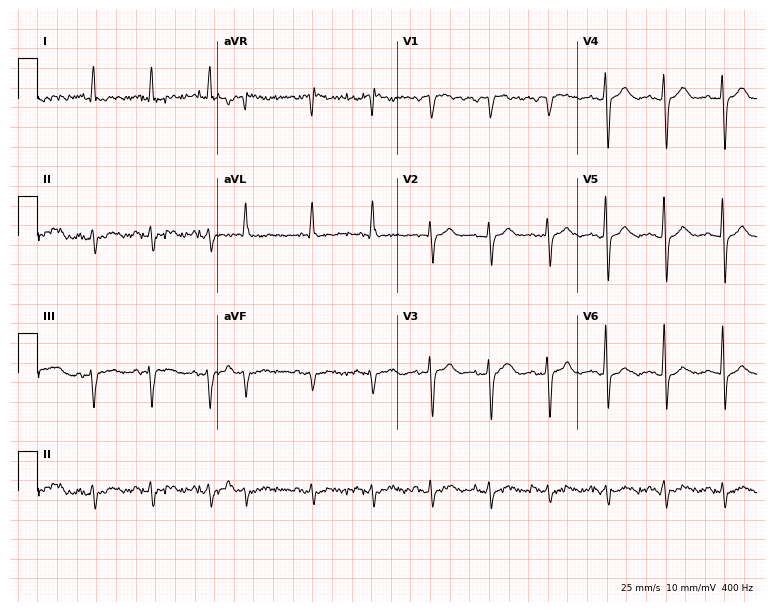
Resting 12-lead electrocardiogram (7.3-second recording at 400 Hz). Patient: a male, 74 years old. None of these six findings is recorded: first-degree AV block, right bundle branch block, left bundle branch block, sinus bradycardia, atrial fibrillation, sinus tachycardia. Only these six findings were labelled.